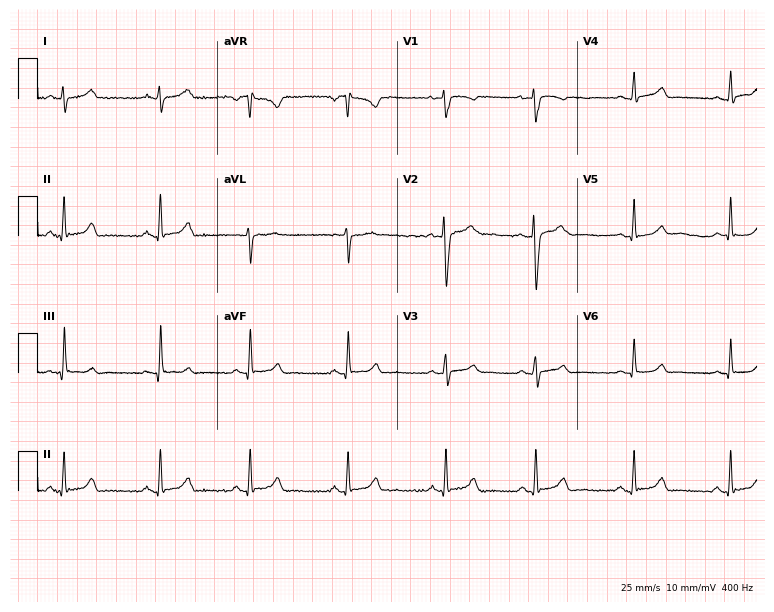
Resting 12-lead electrocardiogram (7.3-second recording at 400 Hz). Patient: a 20-year-old female. Read as a normal ECG.